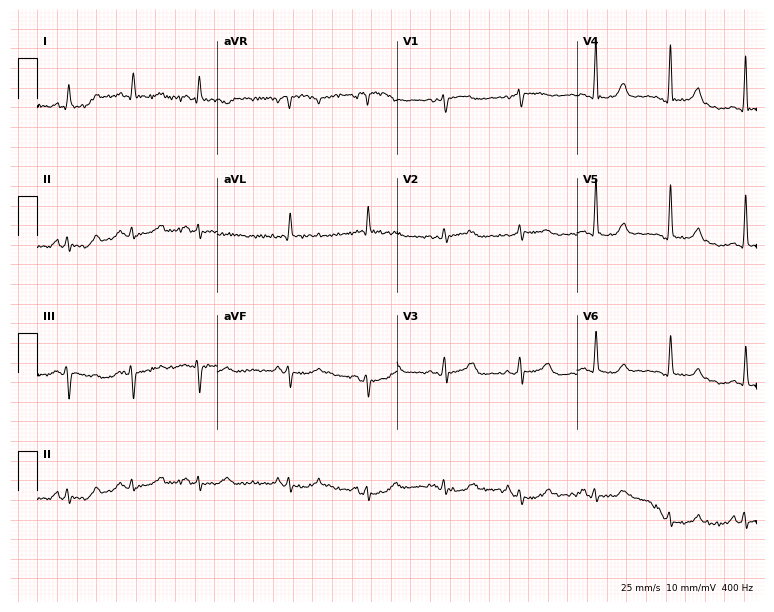
Resting 12-lead electrocardiogram (7.3-second recording at 400 Hz). Patient: a female, 83 years old. None of these six findings is recorded: first-degree AV block, right bundle branch block (RBBB), left bundle branch block (LBBB), sinus bradycardia, atrial fibrillation (AF), sinus tachycardia. Only these six findings were labelled.